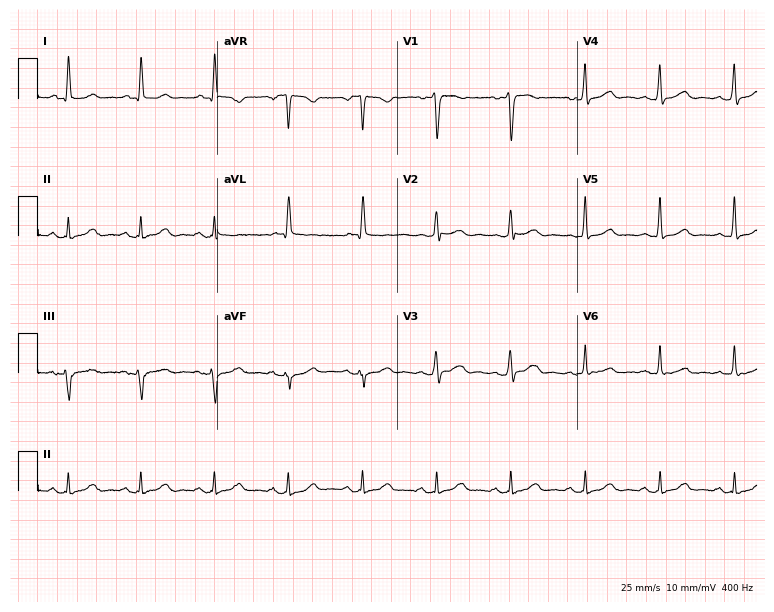
Electrocardiogram (7.3-second recording at 400 Hz), a female patient, 52 years old. Overall reading on record: normal ECG.